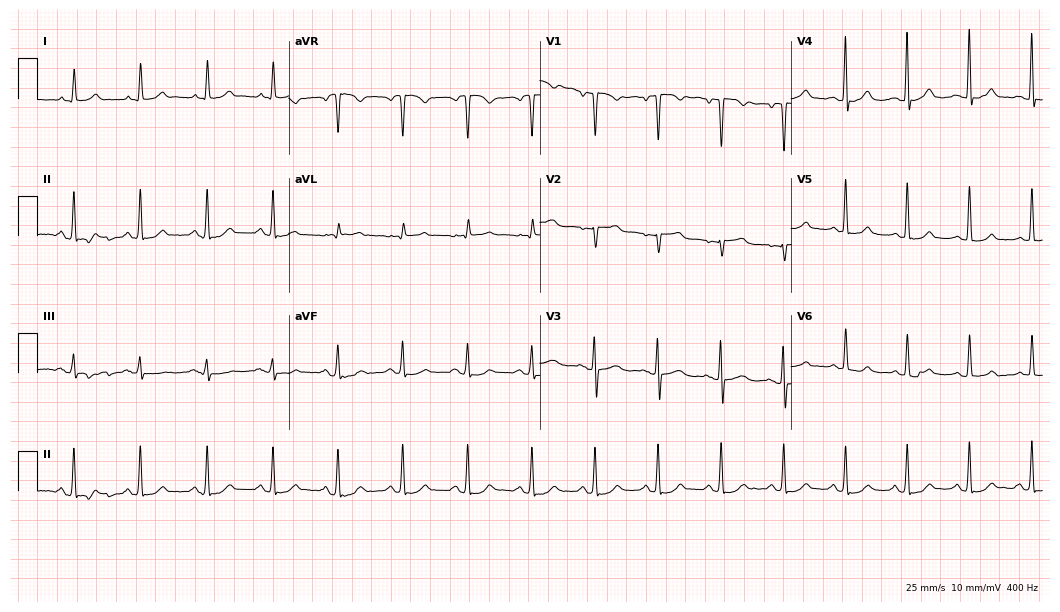
ECG — a woman, 40 years old. Labelled as a normal ECG.